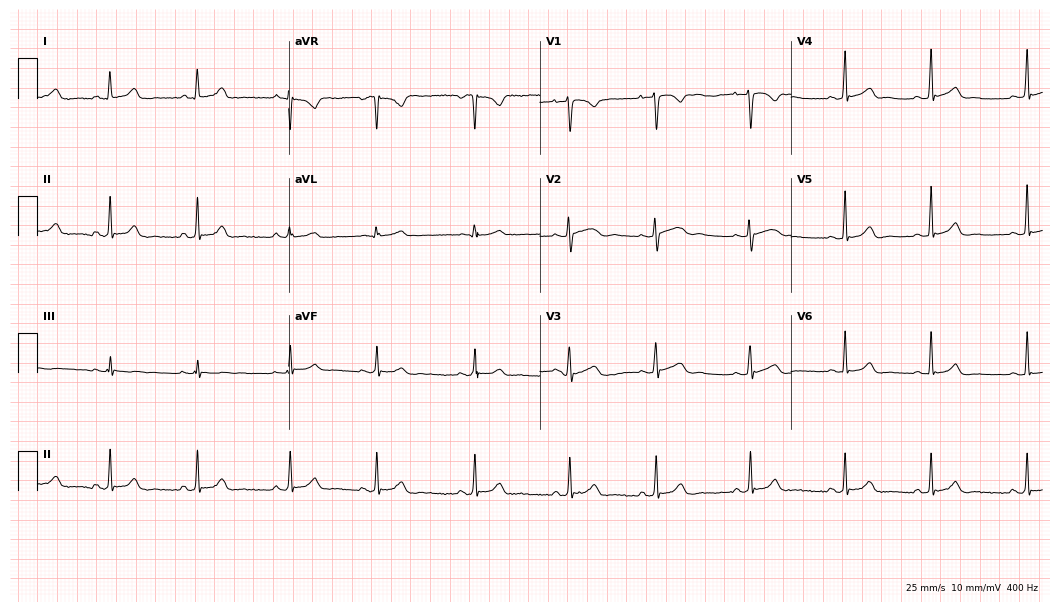
Standard 12-lead ECG recorded from a woman, 19 years old (10.2-second recording at 400 Hz). Read as a normal ECG.